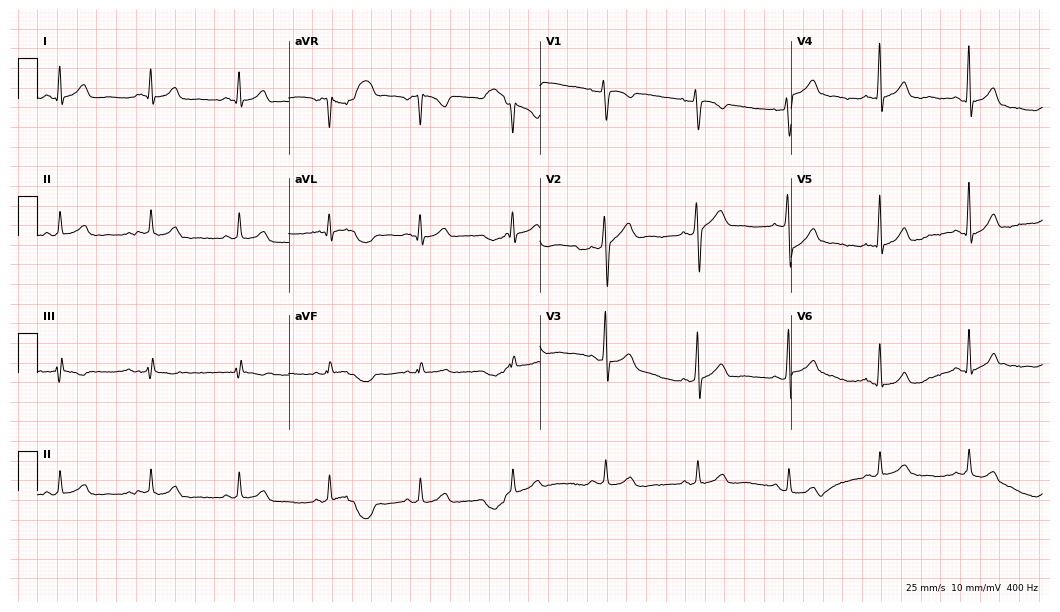
12-lead ECG from a 42-year-old man. Labelled as a normal ECG.